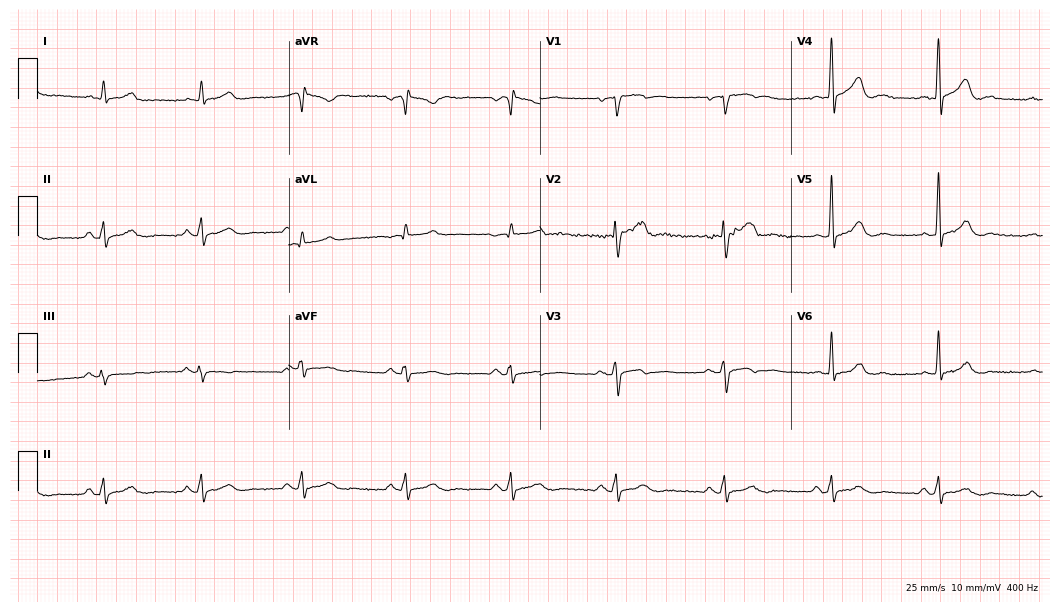
Electrocardiogram, a male patient, 57 years old. Overall reading on record: normal ECG.